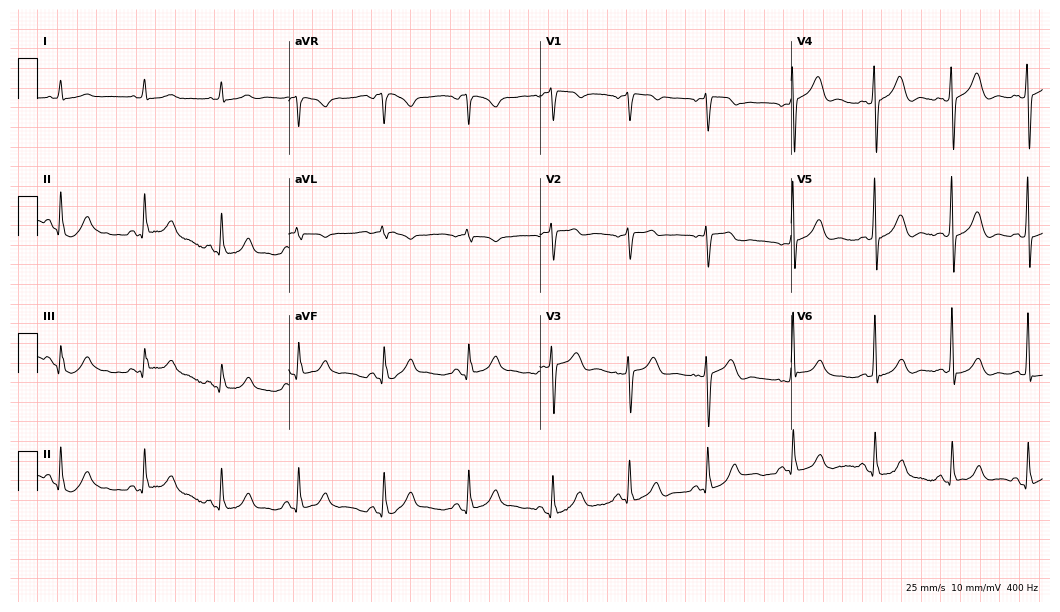
12-lead ECG from a female patient, 81 years old. Screened for six findings — first-degree AV block, right bundle branch block, left bundle branch block, sinus bradycardia, atrial fibrillation, sinus tachycardia — none is recorded.